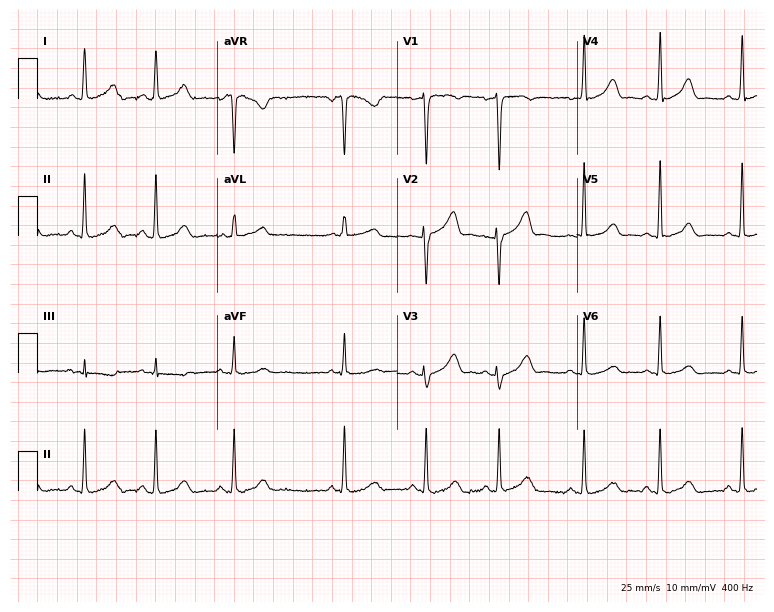
Resting 12-lead electrocardiogram (7.3-second recording at 400 Hz). Patient: a 45-year-old female. Read as a normal ECG.